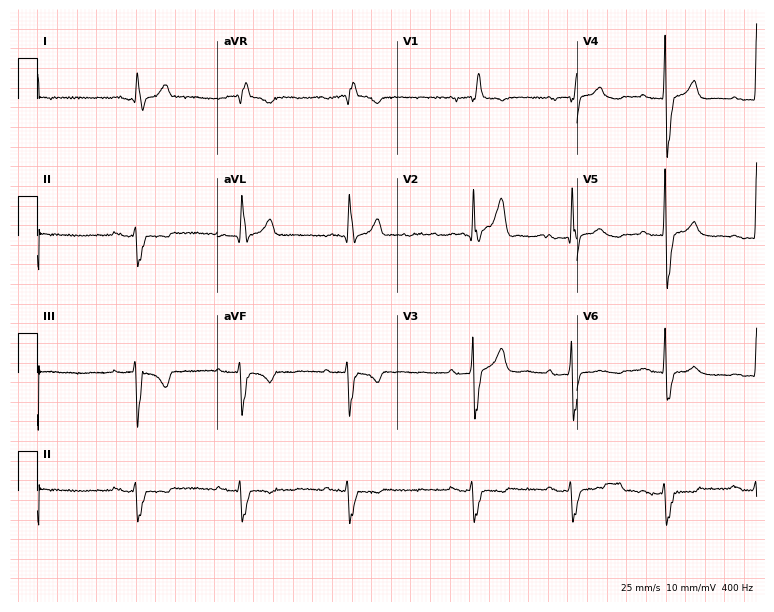
Resting 12-lead electrocardiogram (7.3-second recording at 400 Hz). Patient: a 70-year-old male. The tracing shows first-degree AV block, right bundle branch block.